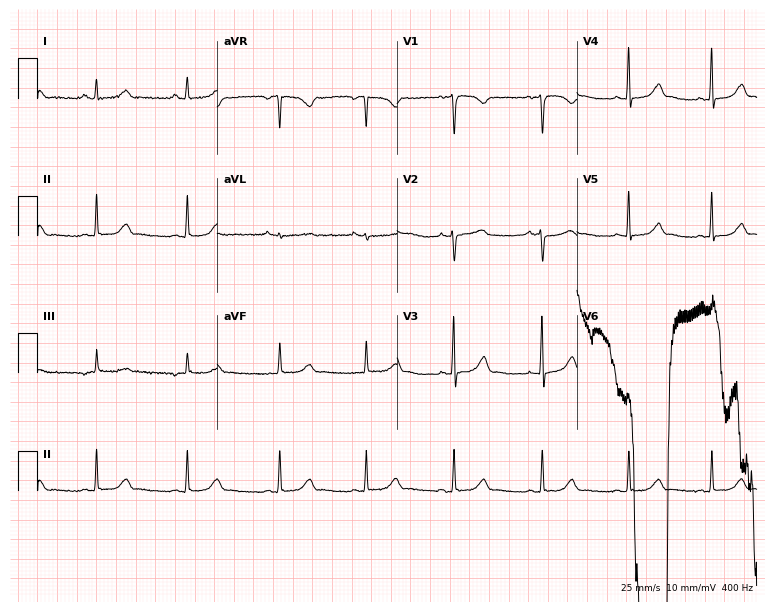
ECG — a male, 22 years old. Screened for six findings — first-degree AV block, right bundle branch block, left bundle branch block, sinus bradycardia, atrial fibrillation, sinus tachycardia — none is recorded.